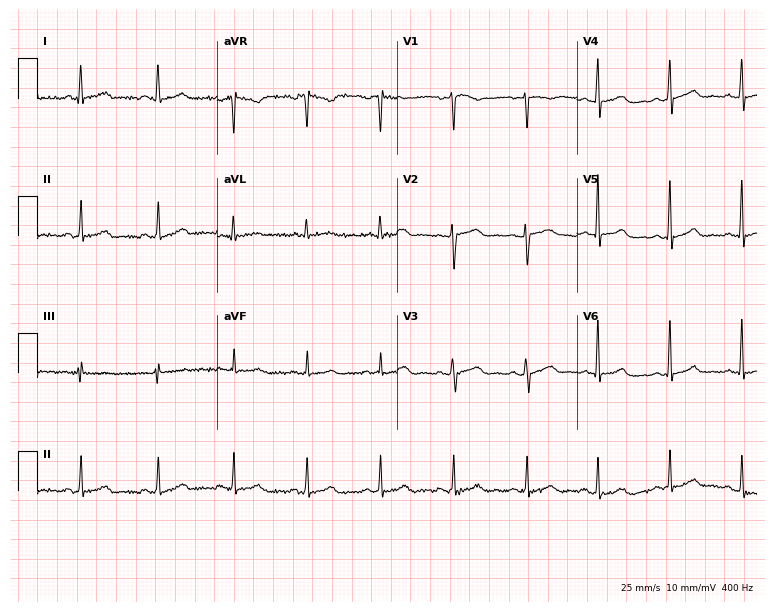
12-lead ECG from a female, 52 years old (7.3-second recording at 400 Hz). Recorded interpretation: within normal limits.